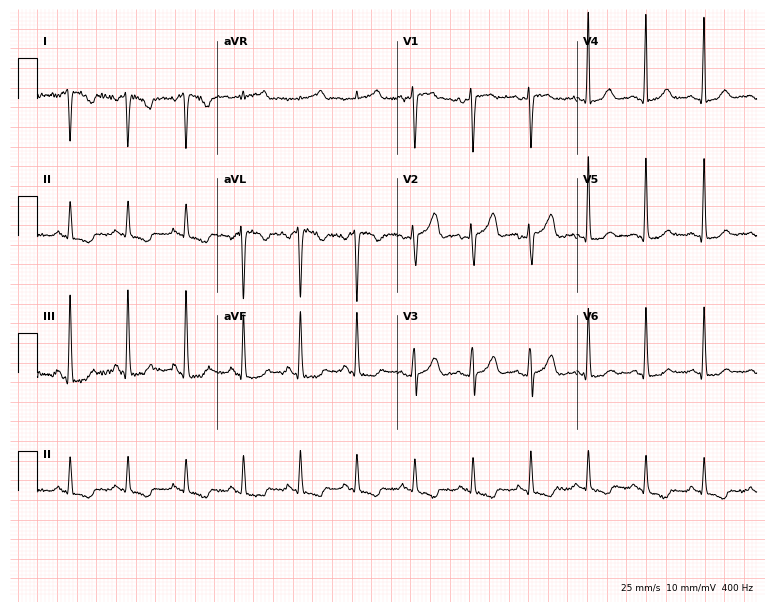
12-lead ECG from a 34-year-old female patient (7.3-second recording at 400 Hz). No first-degree AV block, right bundle branch block, left bundle branch block, sinus bradycardia, atrial fibrillation or sinus tachycardia recorded for this tracing.